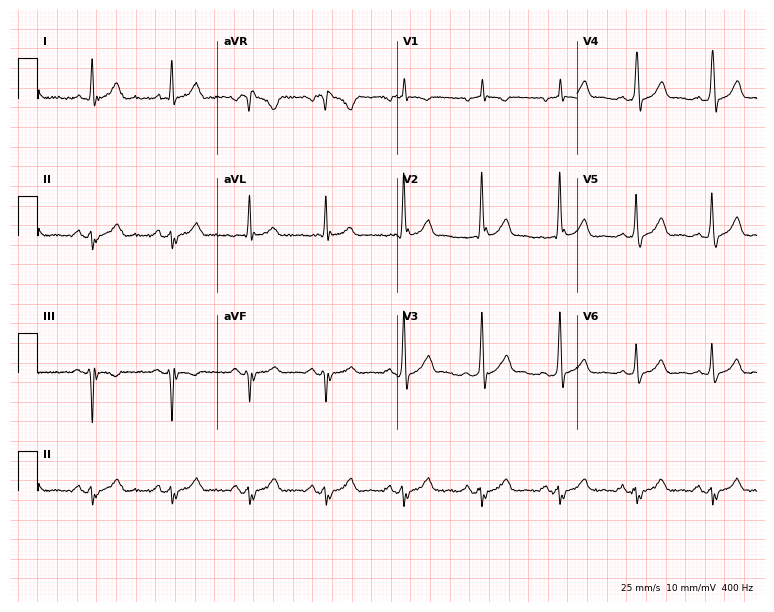
Standard 12-lead ECG recorded from a male patient, 41 years old (7.3-second recording at 400 Hz). None of these six findings is recorded: first-degree AV block, right bundle branch block, left bundle branch block, sinus bradycardia, atrial fibrillation, sinus tachycardia. Findings outside these six are not listed.